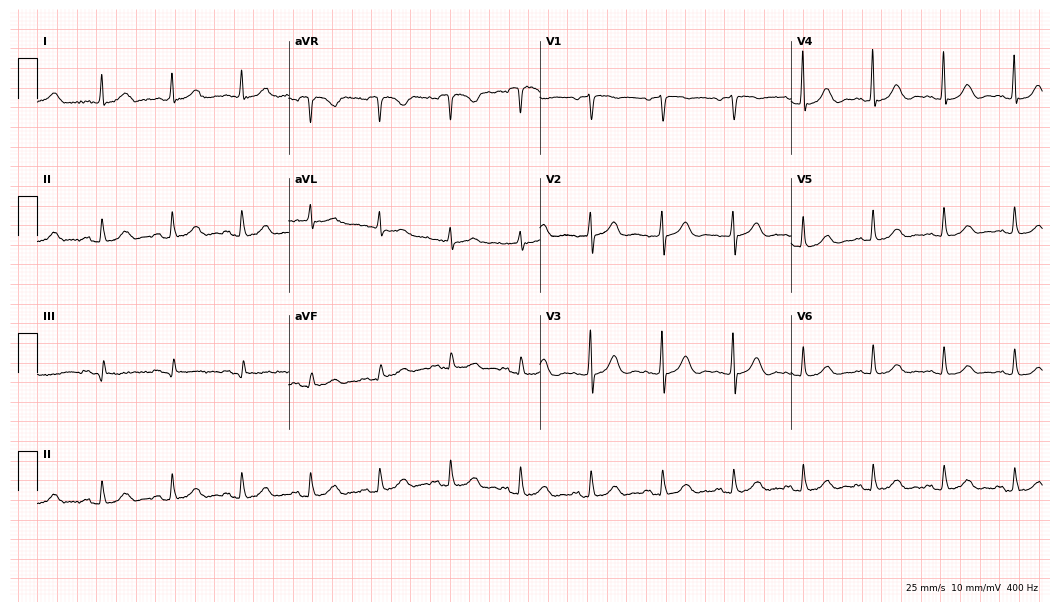
12-lead ECG from a 78-year-old female patient. Recorded interpretation: within normal limits.